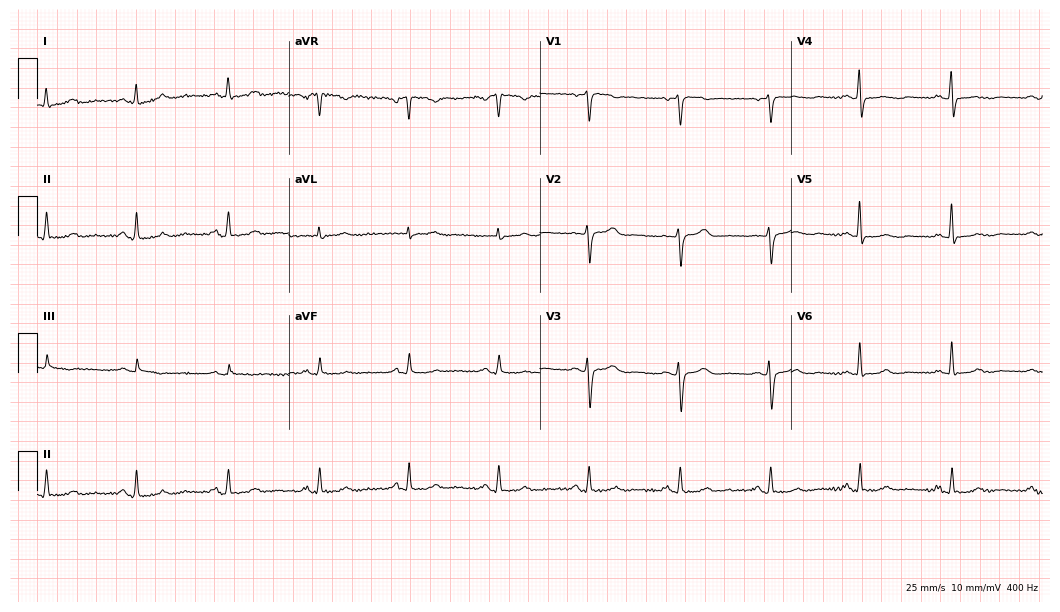
ECG — a female patient, 56 years old. Screened for six findings — first-degree AV block, right bundle branch block, left bundle branch block, sinus bradycardia, atrial fibrillation, sinus tachycardia — none is recorded. Other findings, if any, are not listed.